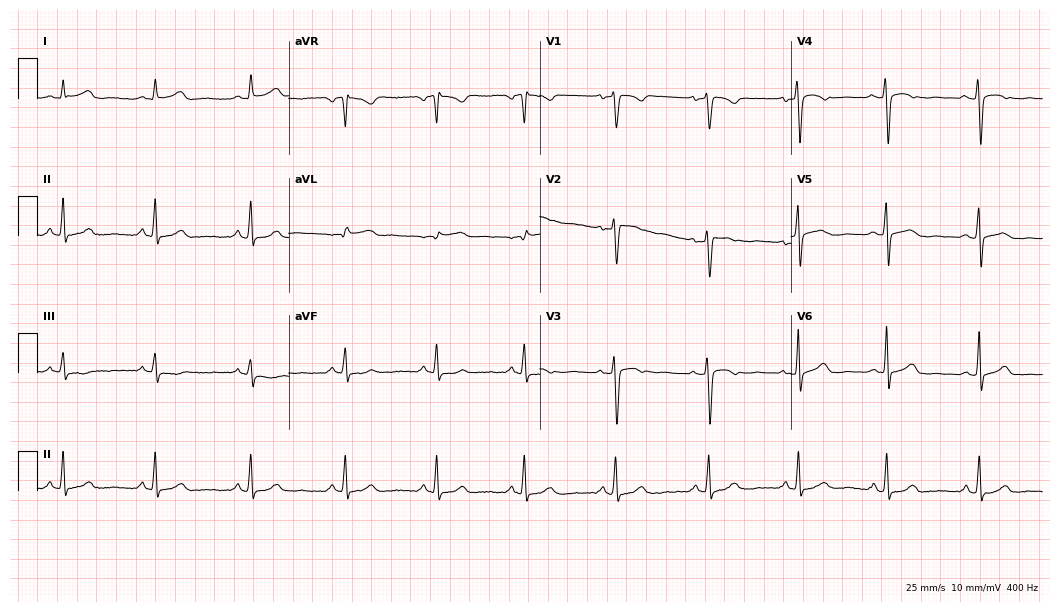
12-lead ECG from a 38-year-old female (10.2-second recording at 400 Hz). No first-degree AV block, right bundle branch block, left bundle branch block, sinus bradycardia, atrial fibrillation or sinus tachycardia recorded for this tracing.